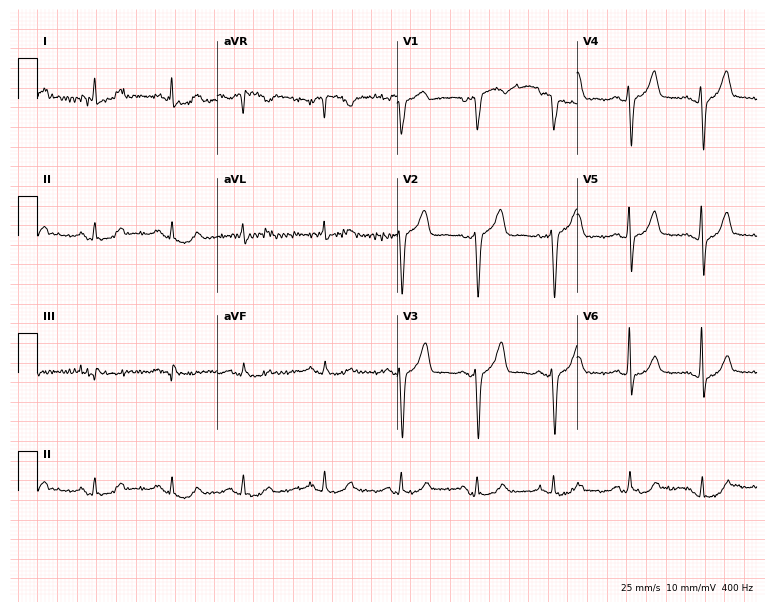
ECG — a 73-year-old male. Labelled as a normal ECG.